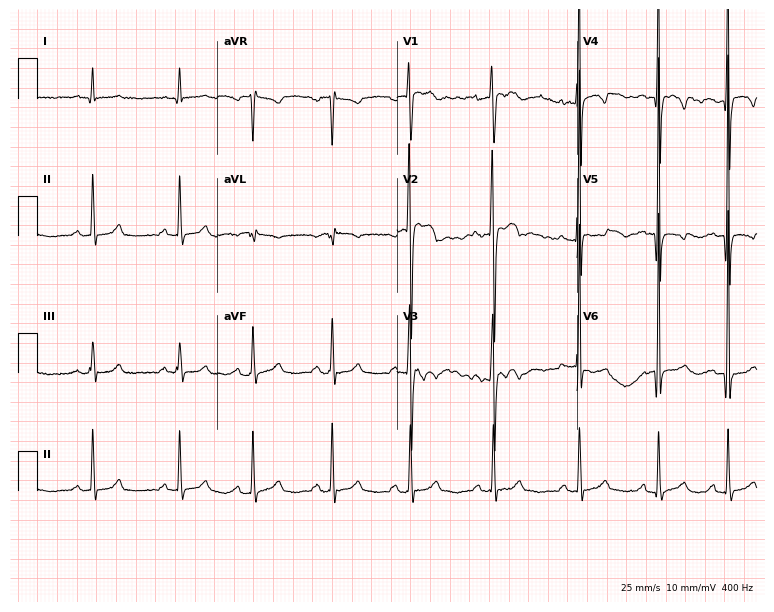
Electrocardiogram (7.3-second recording at 400 Hz), a male patient, 55 years old. Of the six screened findings (first-degree AV block, right bundle branch block, left bundle branch block, sinus bradycardia, atrial fibrillation, sinus tachycardia), none is recorded.